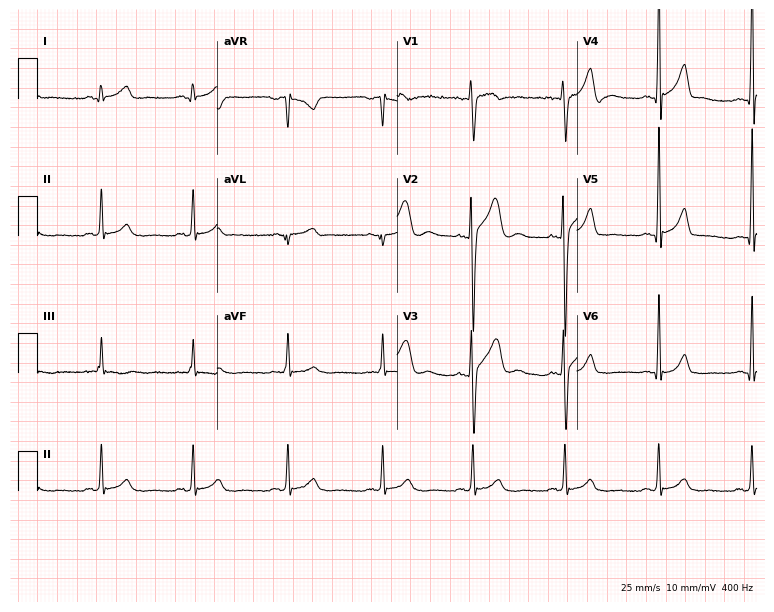
Electrocardiogram, a man, 21 years old. Overall reading on record: normal ECG.